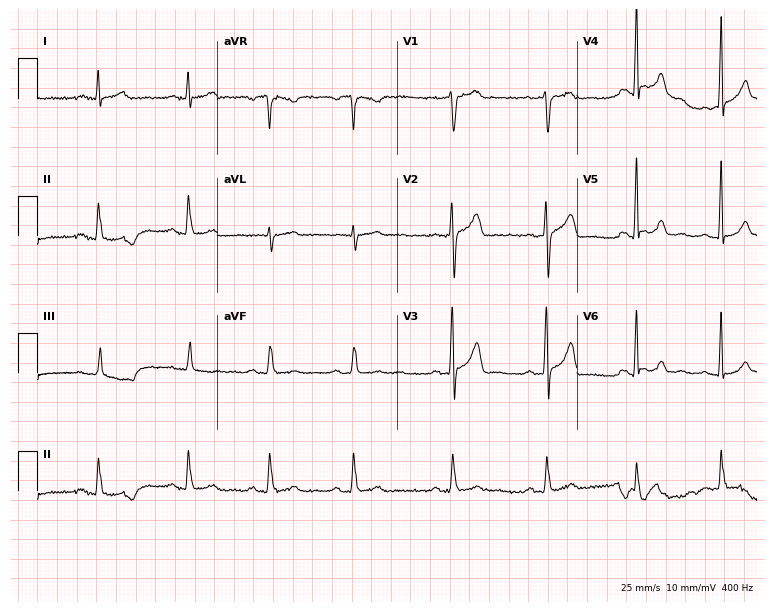
Electrocardiogram (7.3-second recording at 400 Hz), a man, 44 years old. Overall reading on record: normal ECG.